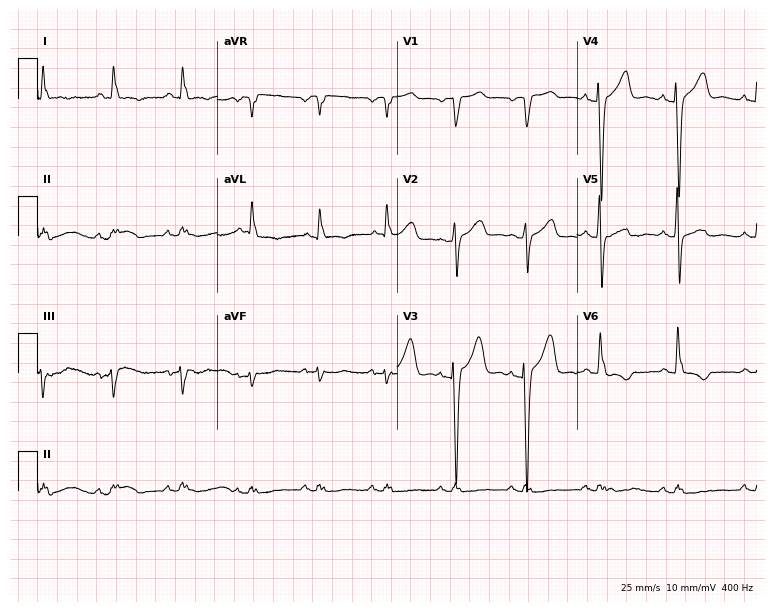
Resting 12-lead electrocardiogram. Patient: a 64-year-old male. None of these six findings is recorded: first-degree AV block, right bundle branch block, left bundle branch block, sinus bradycardia, atrial fibrillation, sinus tachycardia. Findings outside these six are not listed.